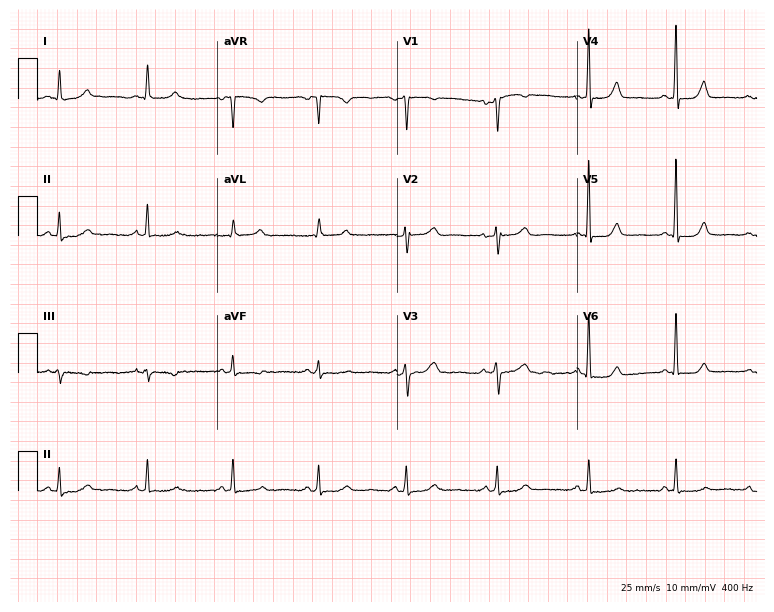
12-lead ECG from a female, 46 years old (7.3-second recording at 400 Hz). No first-degree AV block, right bundle branch block, left bundle branch block, sinus bradycardia, atrial fibrillation or sinus tachycardia recorded for this tracing.